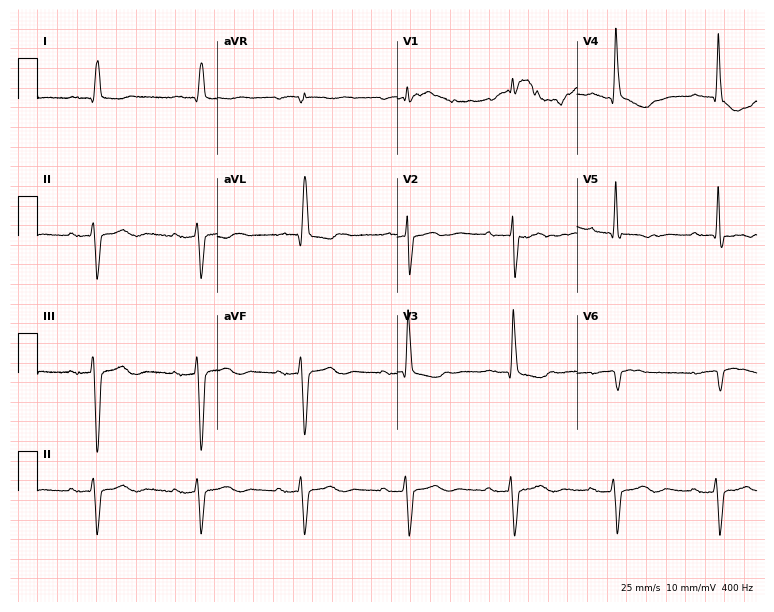
ECG — a man, 86 years old. Screened for six findings — first-degree AV block, right bundle branch block (RBBB), left bundle branch block (LBBB), sinus bradycardia, atrial fibrillation (AF), sinus tachycardia — none is recorded.